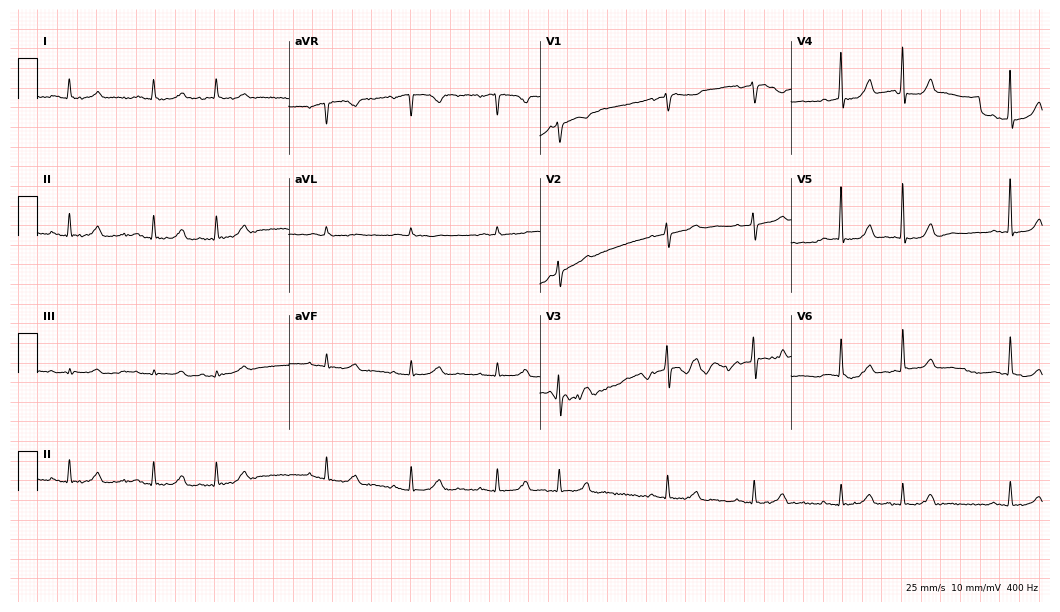
Standard 12-lead ECG recorded from a male, 82 years old (10.2-second recording at 400 Hz). None of these six findings is recorded: first-degree AV block, right bundle branch block, left bundle branch block, sinus bradycardia, atrial fibrillation, sinus tachycardia.